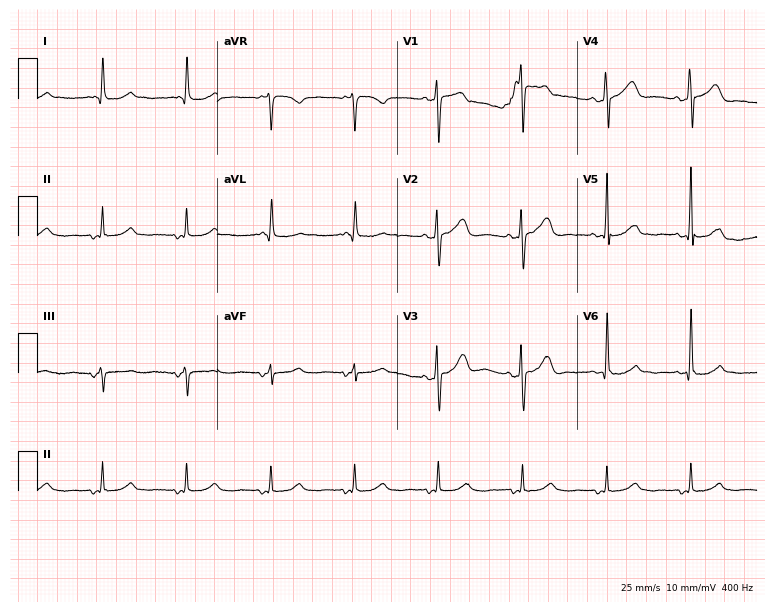
12-lead ECG (7.3-second recording at 400 Hz) from a 67-year-old woman. Labelled as a normal ECG.